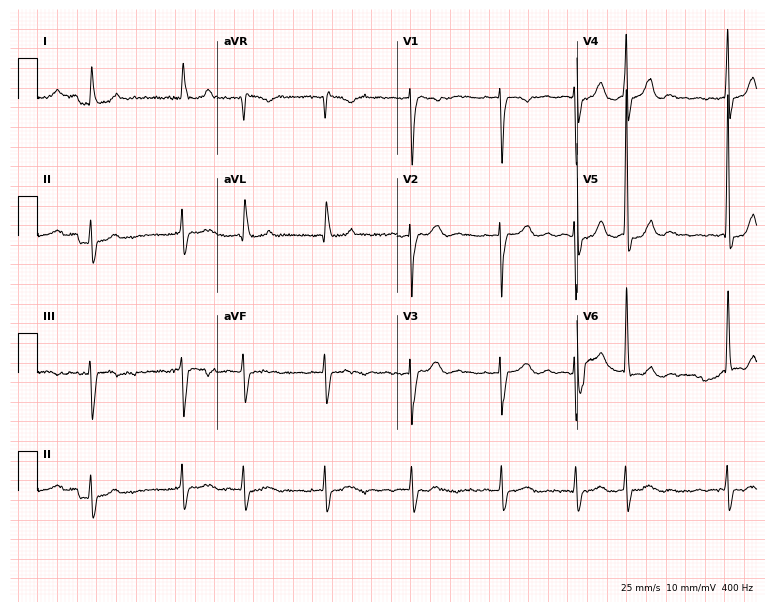
Standard 12-lead ECG recorded from a 73-year-old woman. The tracing shows atrial fibrillation (AF).